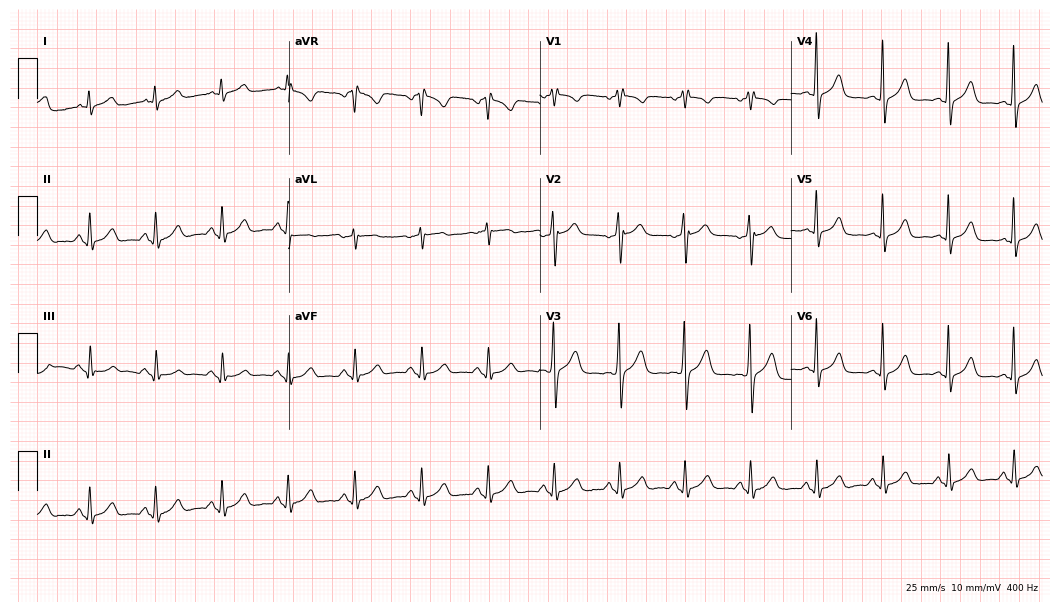
12-lead ECG from a female patient, 38 years old (10.2-second recording at 400 Hz). No first-degree AV block, right bundle branch block, left bundle branch block, sinus bradycardia, atrial fibrillation or sinus tachycardia recorded for this tracing.